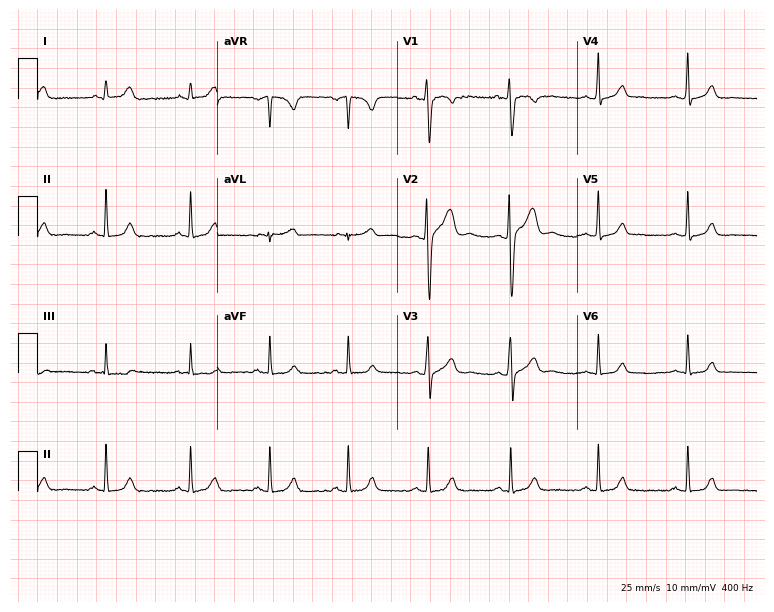
Electrocardiogram (7.3-second recording at 400 Hz), a male patient, 29 years old. Overall reading on record: normal ECG.